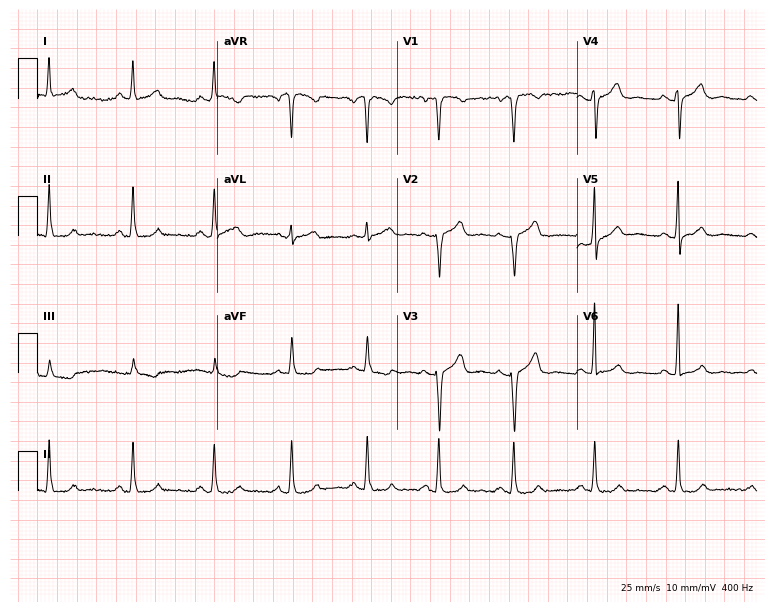
Resting 12-lead electrocardiogram (7.3-second recording at 400 Hz). Patient: a woman, 41 years old. None of these six findings is recorded: first-degree AV block, right bundle branch block (RBBB), left bundle branch block (LBBB), sinus bradycardia, atrial fibrillation (AF), sinus tachycardia.